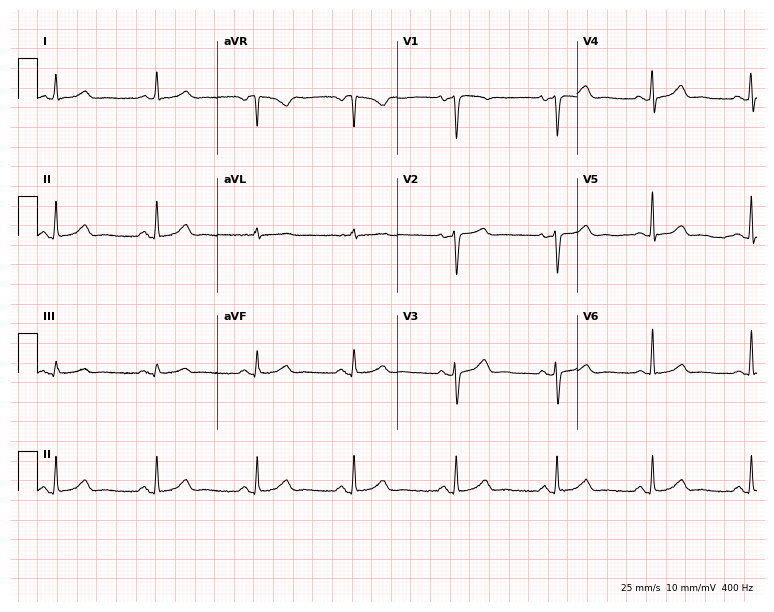
Electrocardiogram, a 52-year-old female patient. Overall reading on record: normal ECG.